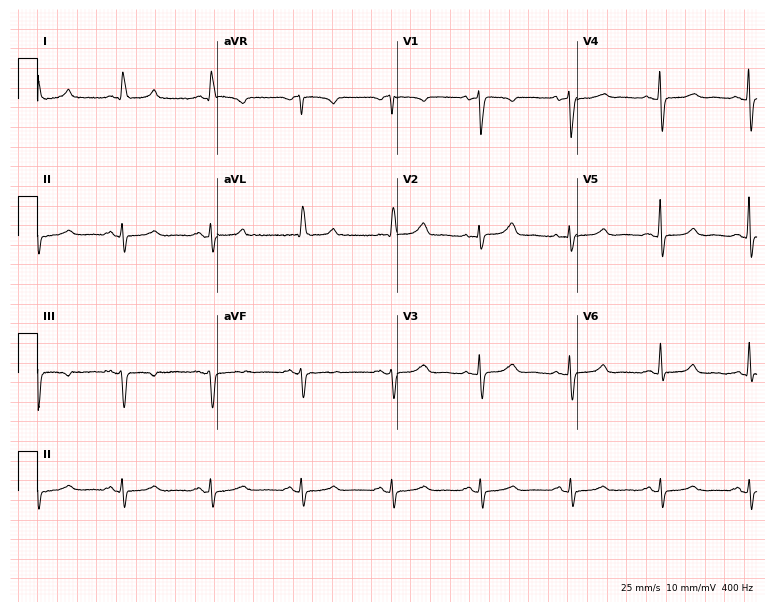
Standard 12-lead ECG recorded from a 64-year-old female patient. None of these six findings is recorded: first-degree AV block, right bundle branch block, left bundle branch block, sinus bradycardia, atrial fibrillation, sinus tachycardia.